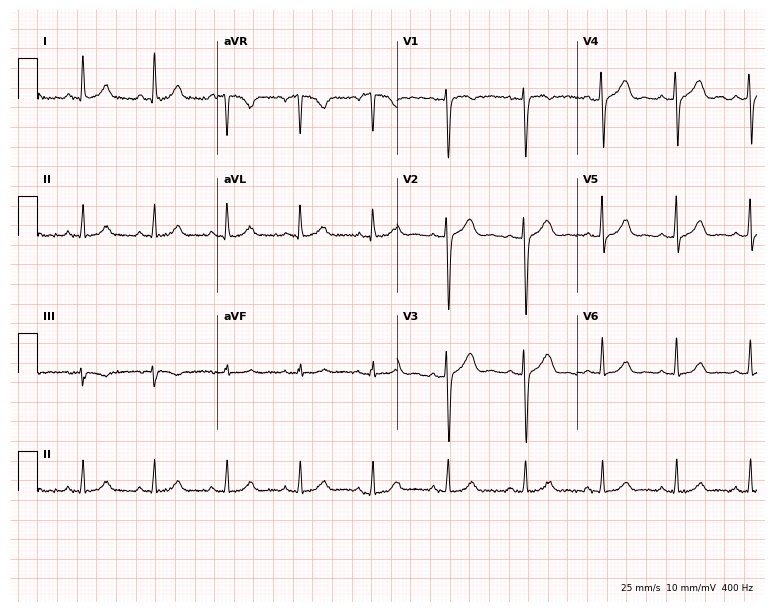
ECG — a 36-year-old female. Labelled as a normal ECG.